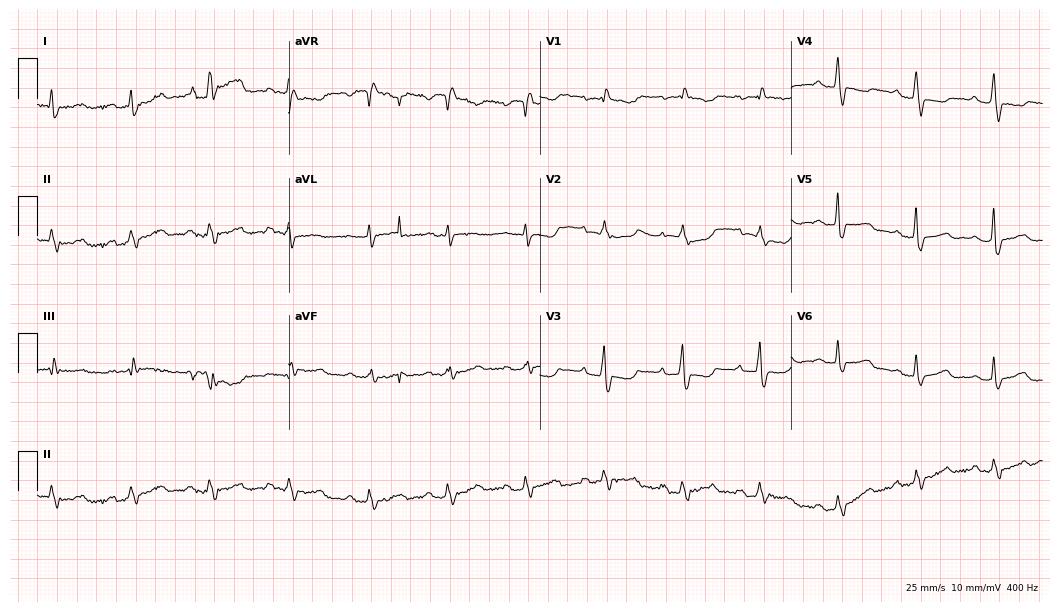
12-lead ECG (10.2-second recording at 400 Hz) from a 36-year-old female. Screened for six findings — first-degree AV block, right bundle branch block, left bundle branch block, sinus bradycardia, atrial fibrillation, sinus tachycardia — none is recorded. Only these six findings were labelled.